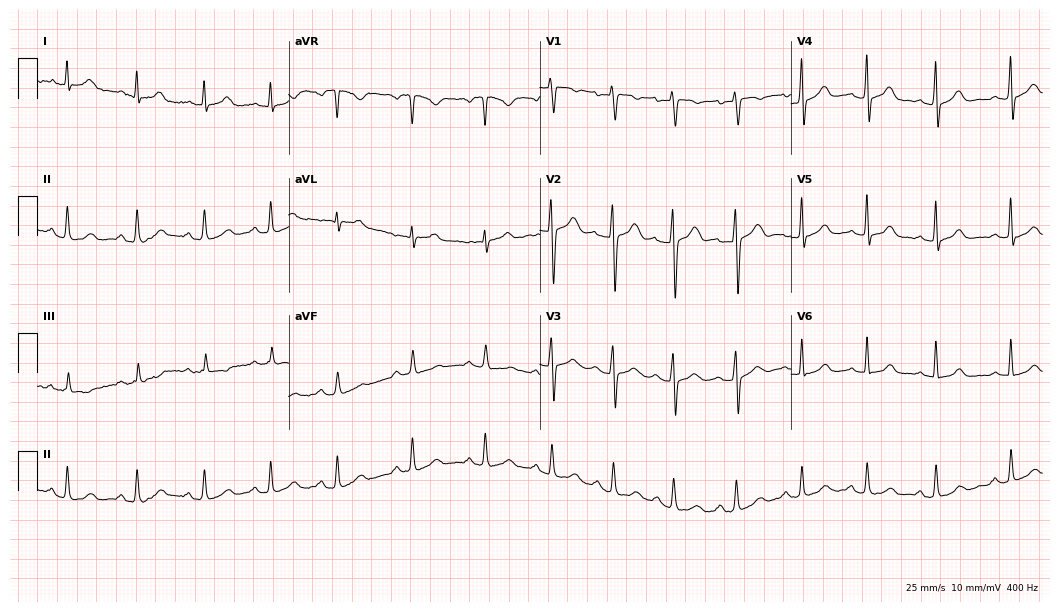
Resting 12-lead electrocardiogram. Patient: a 34-year-old woman. Read as a normal ECG.